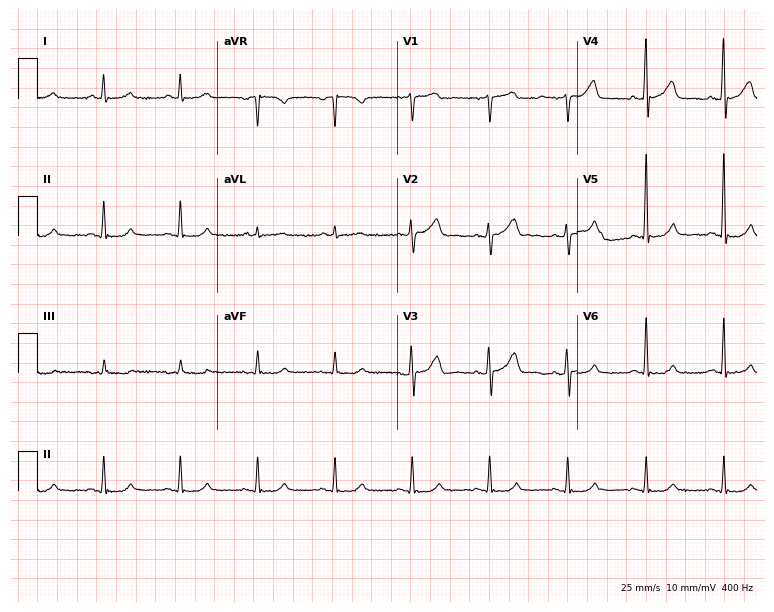
ECG — a 75-year-old male patient. Labelled as a normal ECG.